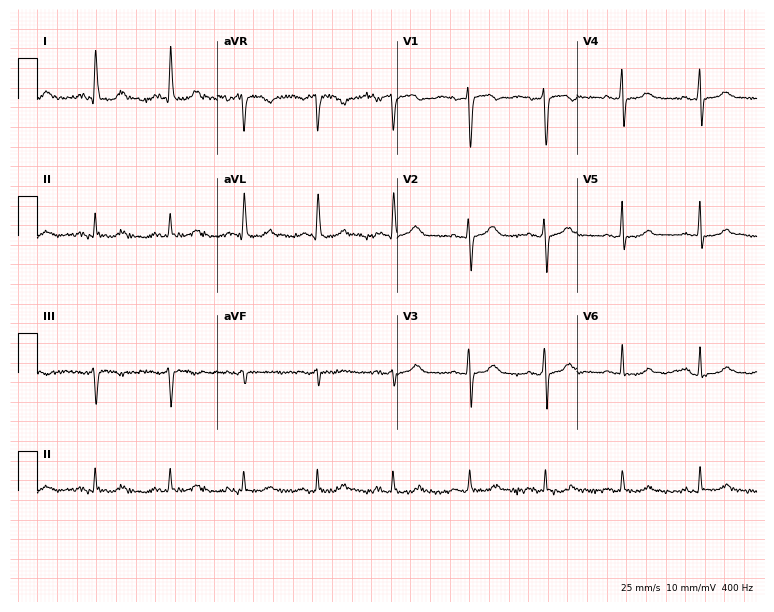
Resting 12-lead electrocardiogram (7.3-second recording at 400 Hz). Patient: a female, 59 years old. Read as a normal ECG.